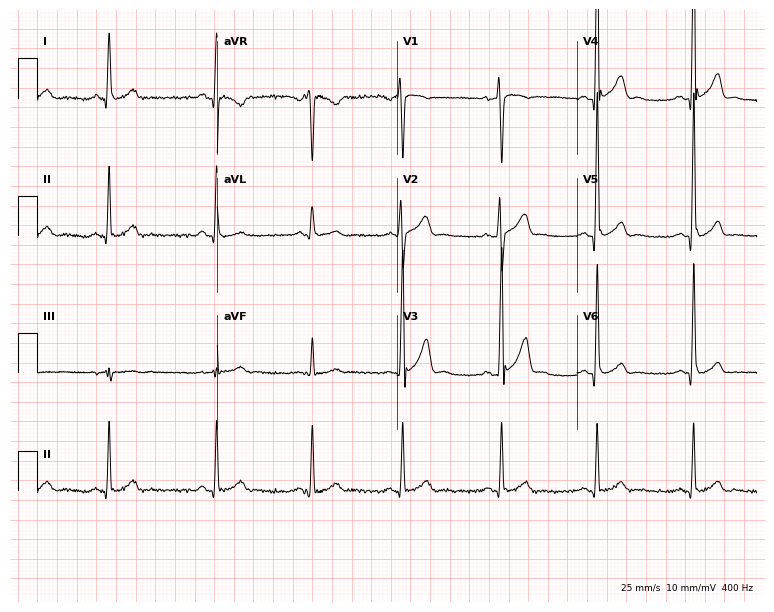
ECG — a male patient, 39 years old. Labelled as a normal ECG.